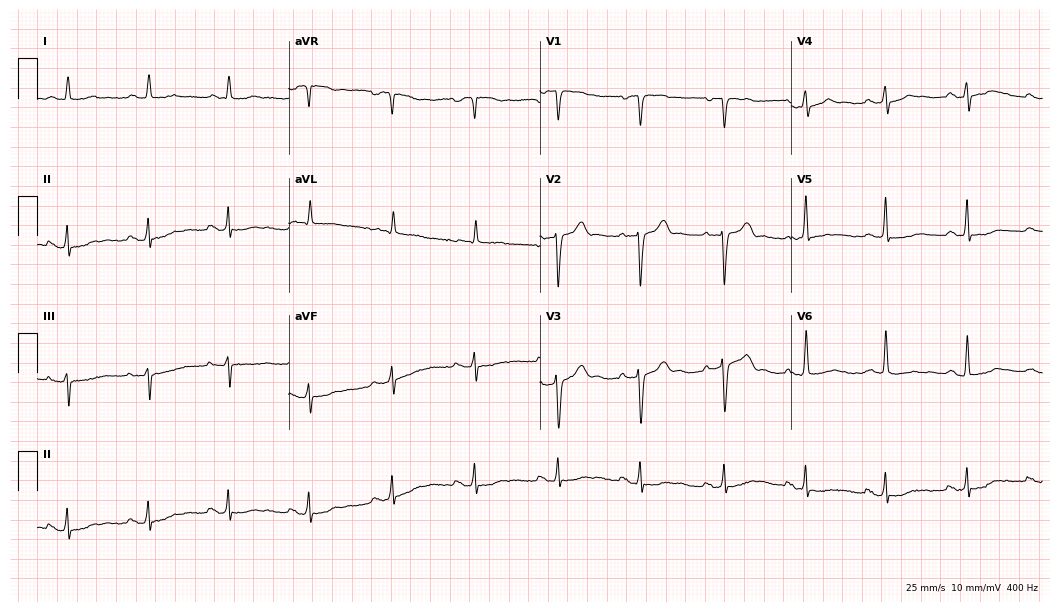
12-lead ECG from a male, 76 years old (10.2-second recording at 400 Hz). No first-degree AV block, right bundle branch block, left bundle branch block, sinus bradycardia, atrial fibrillation or sinus tachycardia recorded for this tracing. Only these six findings were labelled.